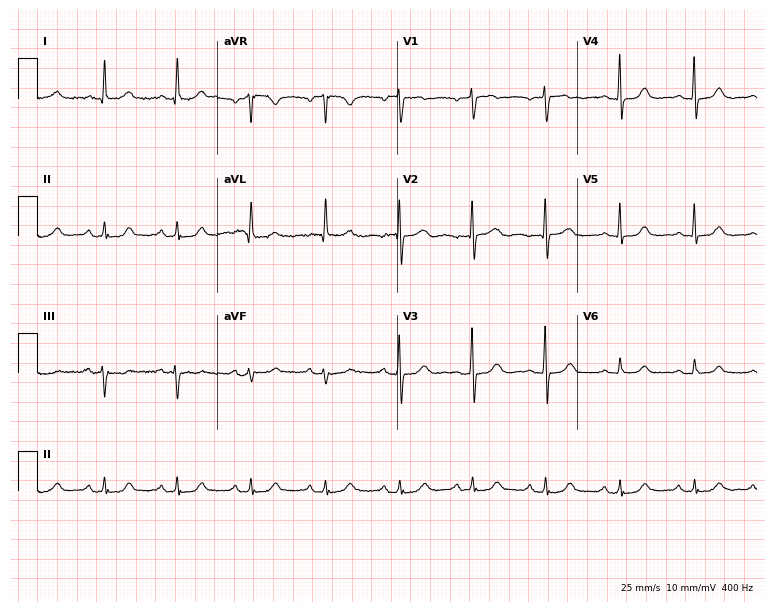
12-lead ECG (7.3-second recording at 400 Hz) from a 78-year-old woman. Labelled as a normal ECG.